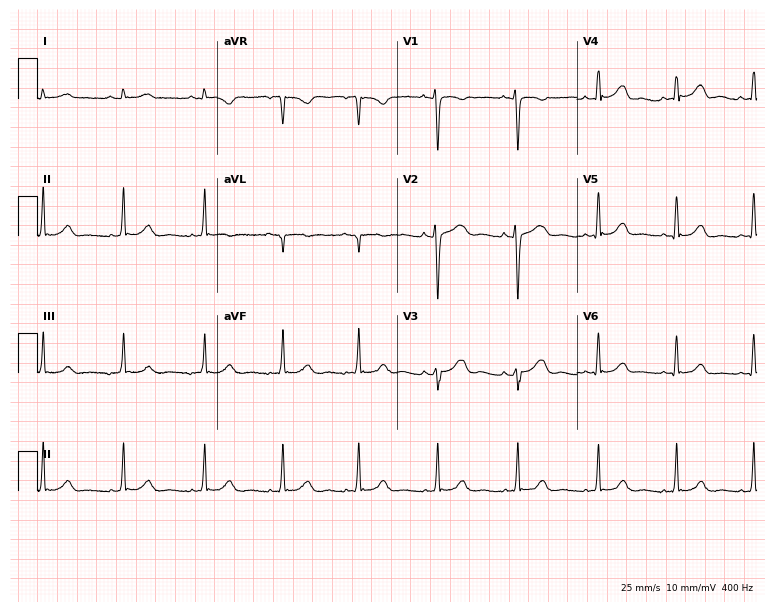
Resting 12-lead electrocardiogram (7.3-second recording at 400 Hz). Patient: a 30-year-old female. Read as a normal ECG.